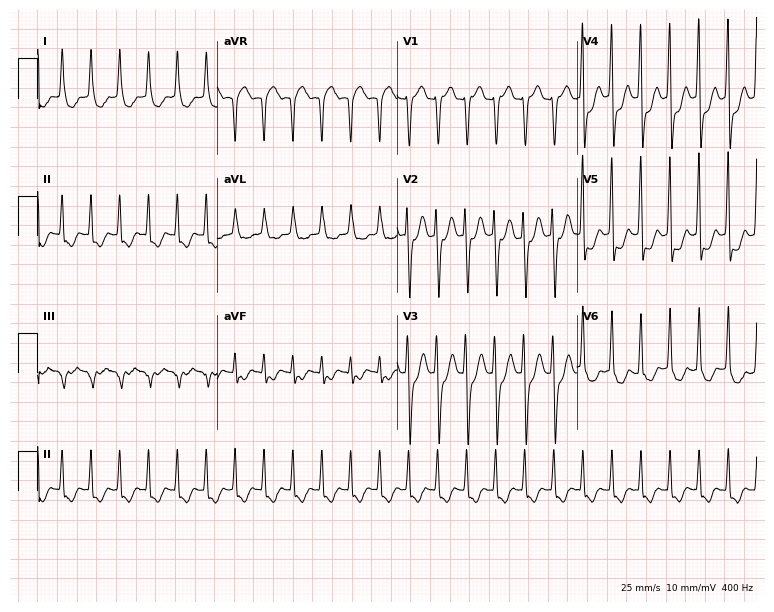
Electrocardiogram, a male, 46 years old. Of the six screened findings (first-degree AV block, right bundle branch block, left bundle branch block, sinus bradycardia, atrial fibrillation, sinus tachycardia), none is recorded.